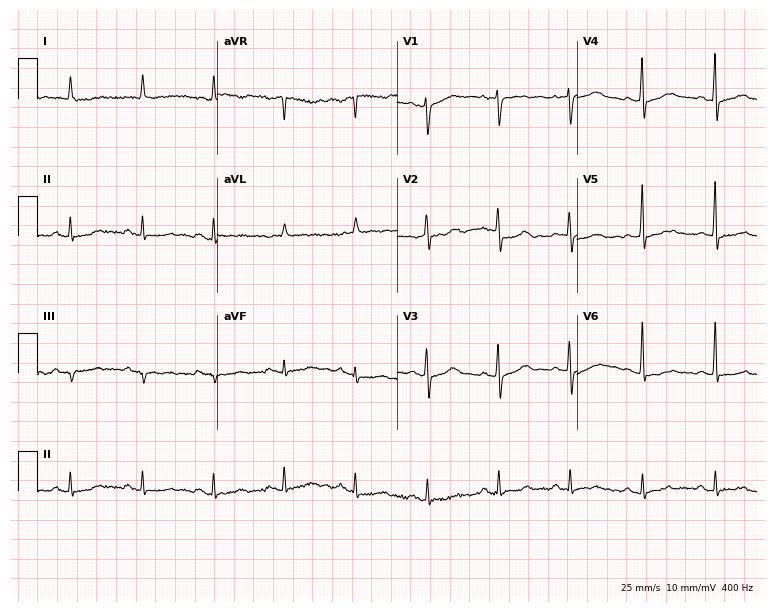
Standard 12-lead ECG recorded from a female, 89 years old. None of these six findings is recorded: first-degree AV block, right bundle branch block, left bundle branch block, sinus bradycardia, atrial fibrillation, sinus tachycardia. Findings outside these six are not listed.